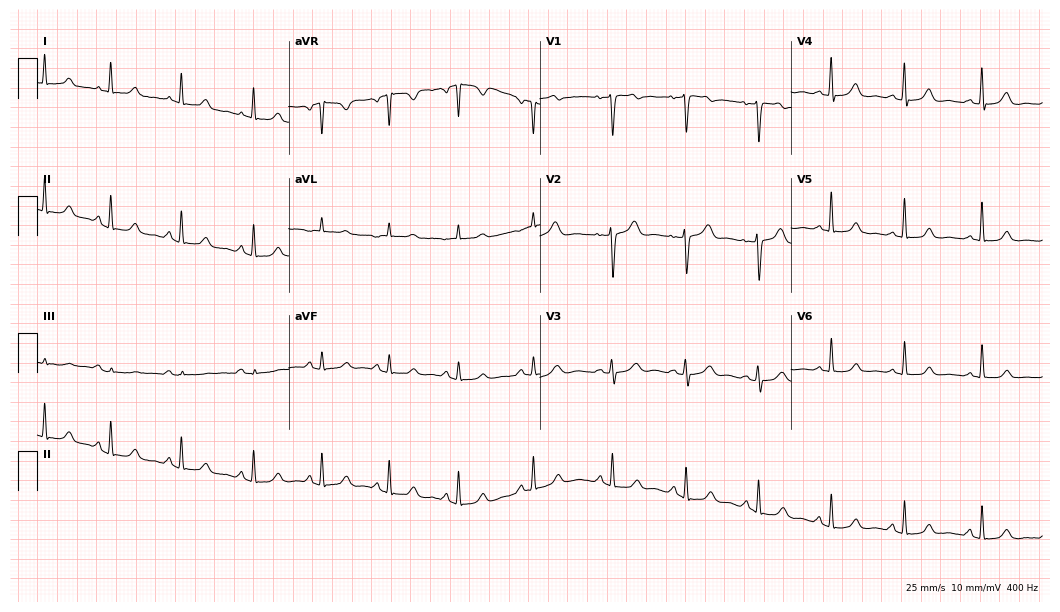
12-lead ECG from a woman, 47 years old. No first-degree AV block, right bundle branch block, left bundle branch block, sinus bradycardia, atrial fibrillation or sinus tachycardia recorded for this tracing. Only these six findings were labelled.